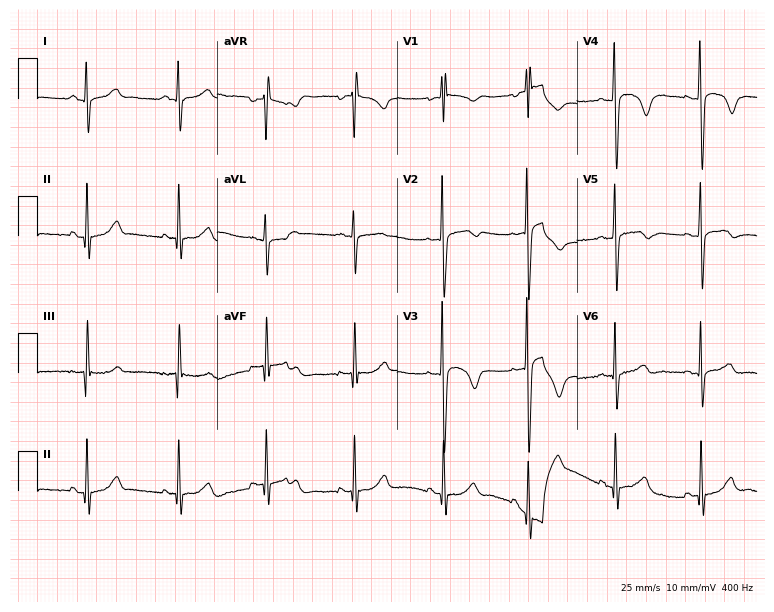
12-lead ECG from a 25-year-old man. Screened for six findings — first-degree AV block, right bundle branch block, left bundle branch block, sinus bradycardia, atrial fibrillation, sinus tachycardia — none is recorded.